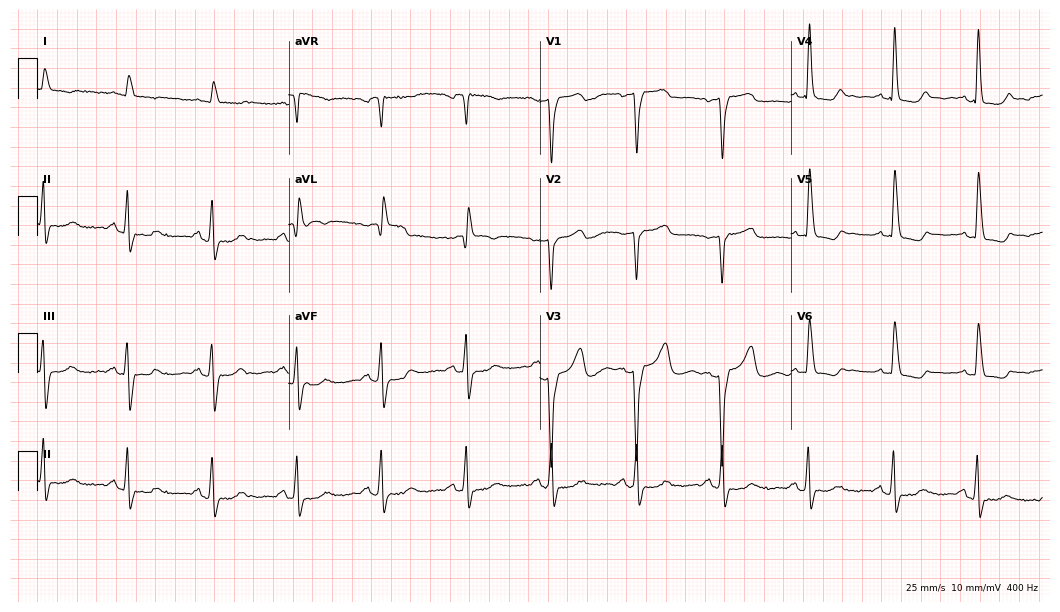
12-lead ECG (10.2-second recording at 400 Hz) from a woman, 84 years old. Screened for six findings — first-degree AV block, right bundle branch block, left bundle branch block, sinus bradycardia, atrial fibrillation, sinus tachycardia — none is recorded. Only these six findings were labelled.